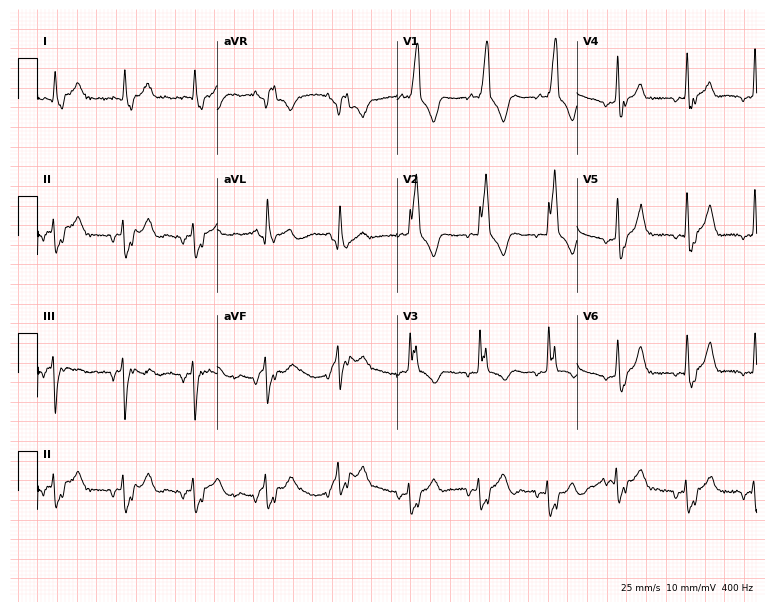
Electrocardiogram (7.3-second recording at 400 Hz), a woman, 58 years old. Of the six screened findings (first-degree AV block, right bundle branch block (RBBB), left bundle branch block (LBBB), sinus bradycardia, atrial fibrillation (AF), sinus tachycardia), none is recorded.